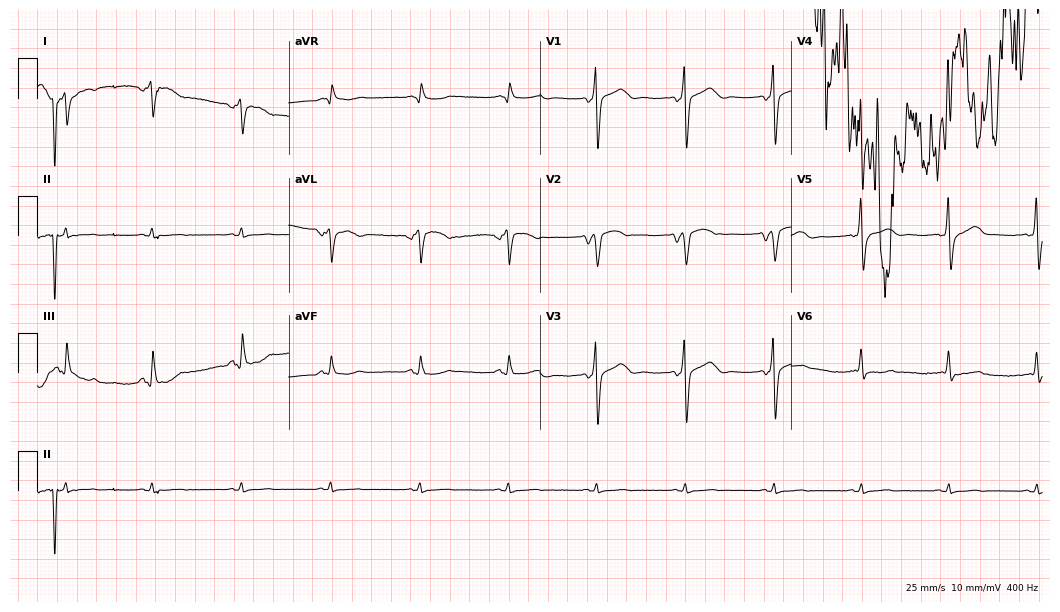
ECG — a man, 73 years old. Screened for six findings — first-degree AV block, right bundle branch block (RBBB), left bundle branch block (LBBB), sinus bradycardia, atrial fibrillation (AF), sinus tachycardia — none is recorded.